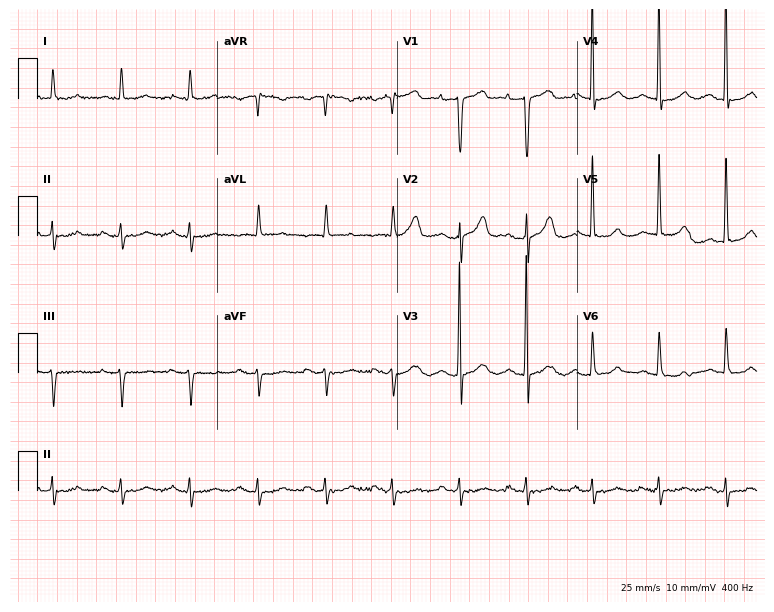
Resting 12-lead electrocardiogram. Patient: a 72-year-old woman. None of these six findings is recorded: first-degree AV block, right bundle branch block, left bundle branch block, sinus bradycardia, atrial fibrillation, sinus tachycardia.